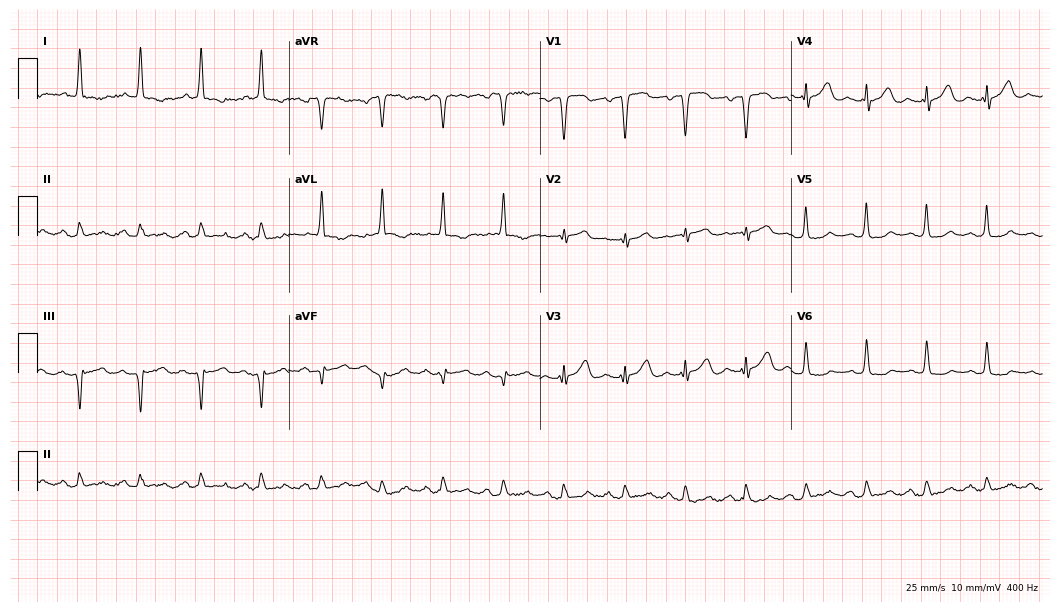
Standard 12-lead ECG recorded from a female patient, 79 years old. None of these six findings is recorded: first-degree AV block, right bundle branch block, left bundle branch block, sinus bradycardia, atrial fibrillation, sinus tachycardia. Findings outside these six are not listed.